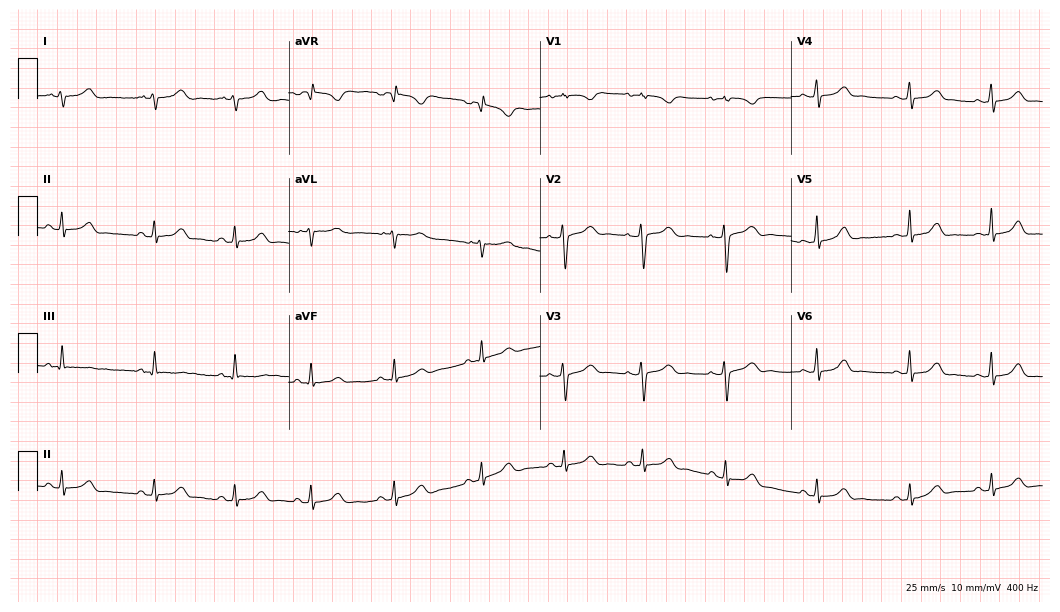
Resting 12-lead electrocardiogram (10.2-second recording at 400 Hz). Patient: a female, 20 years old. None of these six findings is recorded: first-degree AV block, right bundle branch block (RBBB), left bundle branch block (LBBB), sinus bradycardia, atrial fibrillation (AF), sinus tachycardia.